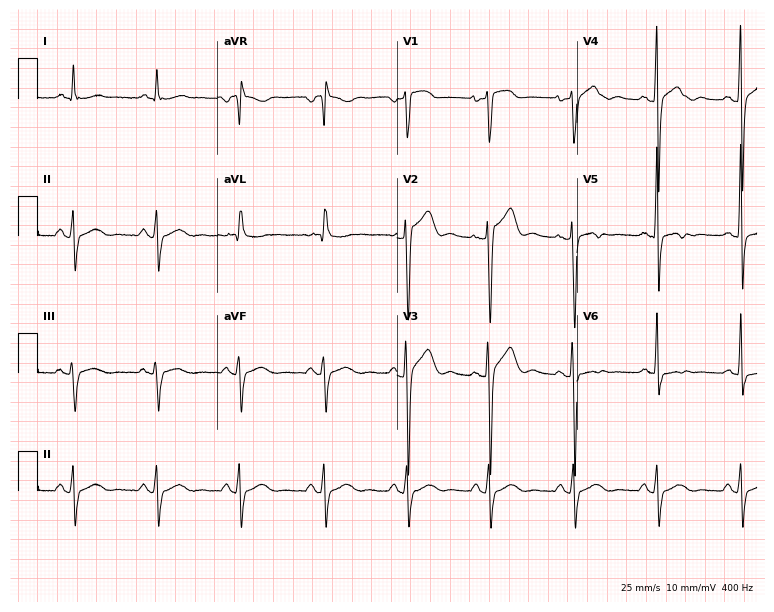
Resting 12-lead electrocardiogram (7.3-second recording at 400 Hz). Patient: a 64-year-old male. None of these six findings is recorded: first-degree AV block, right bundle branch block (RBBB), left bundle branch block (LBBB), sinus bradycardia, atrial fibrillation (AF), sinus tachycardia. Findings outside these six are not listed.